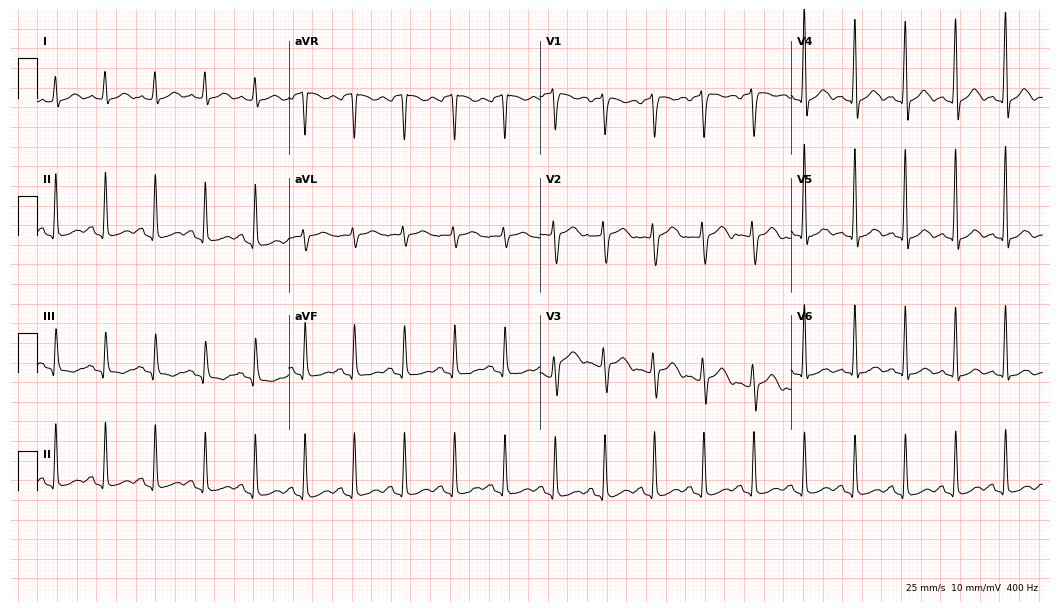
12-lead ECG (10.2-second recording at 400 Hz) from a 61-year-old female. Findings include sinus tachycardia (a sinus rate of 100 beats per minute or more).